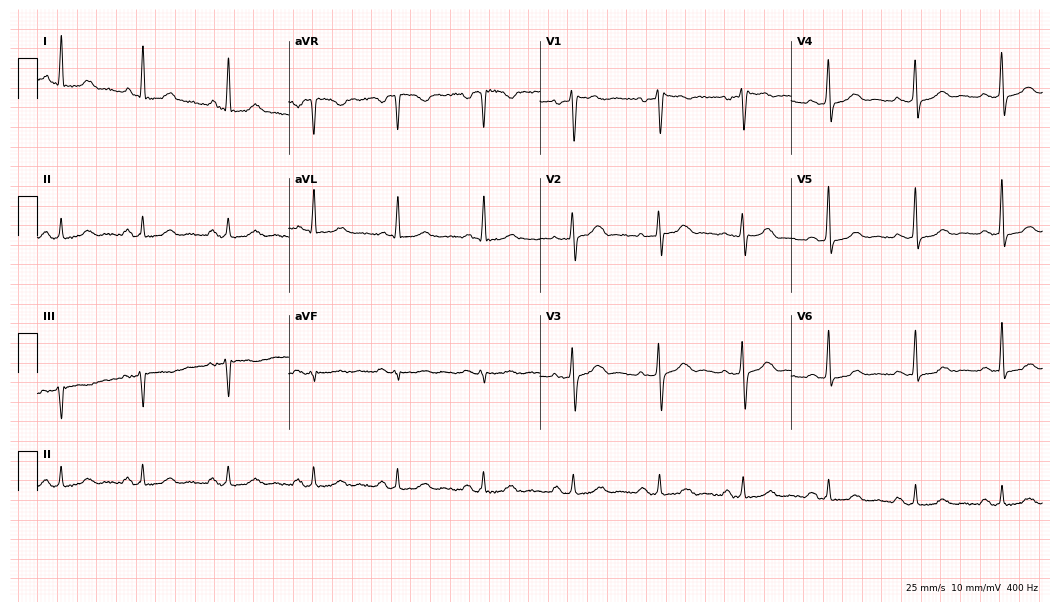
ECG (10.2-second recording at 400 Hz) — a 49-year-old female patient. Labelled as a normal ECG.